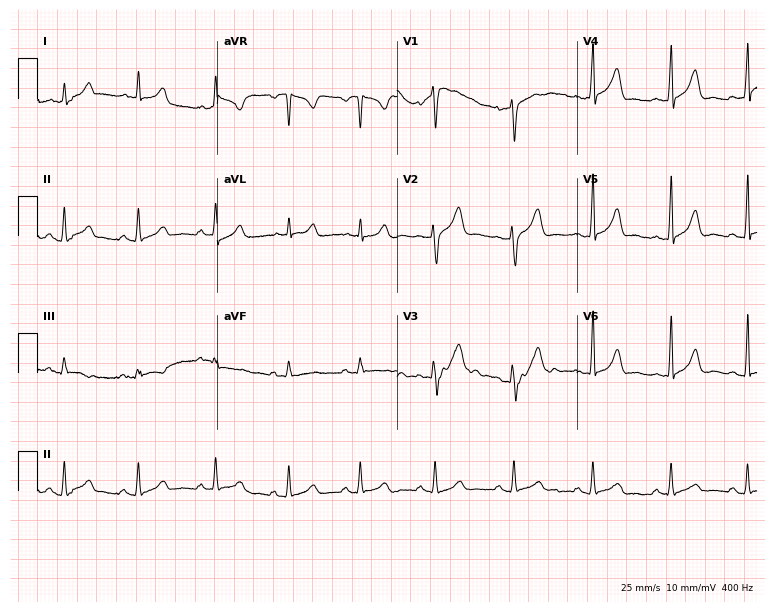
12-lead ECG from a female patient, 32 years old. Recorded interpretation: within normal limits.